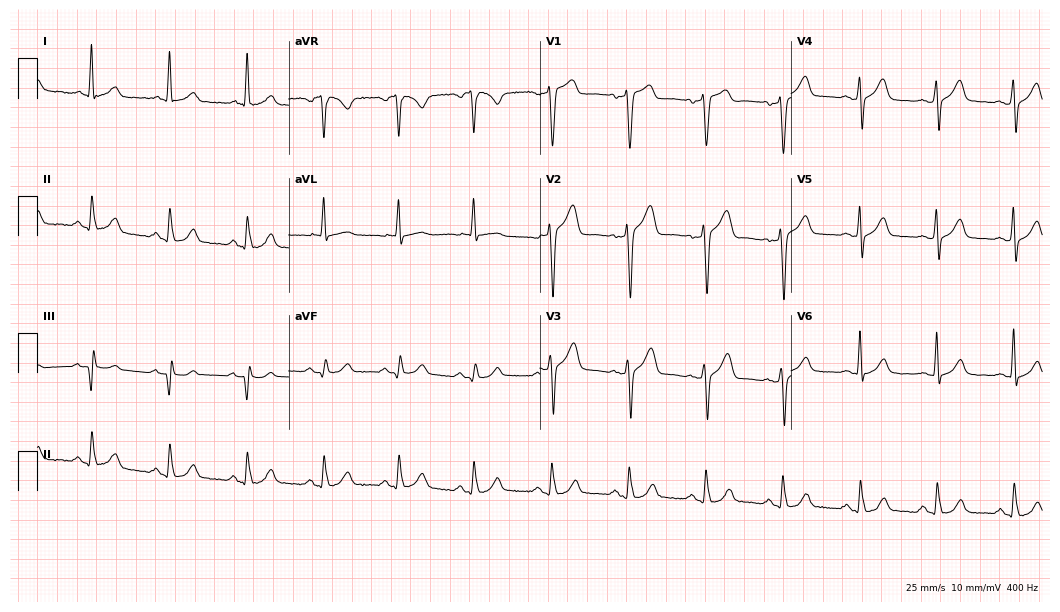
12-lead ECG from a 57-year-old male patient. No first-degree AV block, right bundle branch block (RBBB), left bundle branch block (LBBB), sinus bradycardia, atrial fibrillation (AF) or sinus tachycardia recorded for this tracing. Other findings, if any, are not listed.